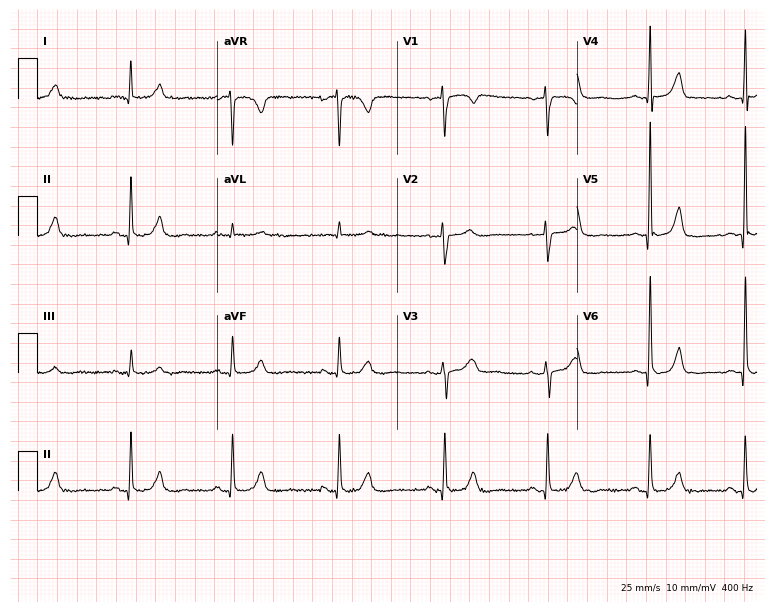
Electrocardiogram (7.3-second recording at 400 Hz), a 75-year-old woman. Overall reading on record: normal ECG.